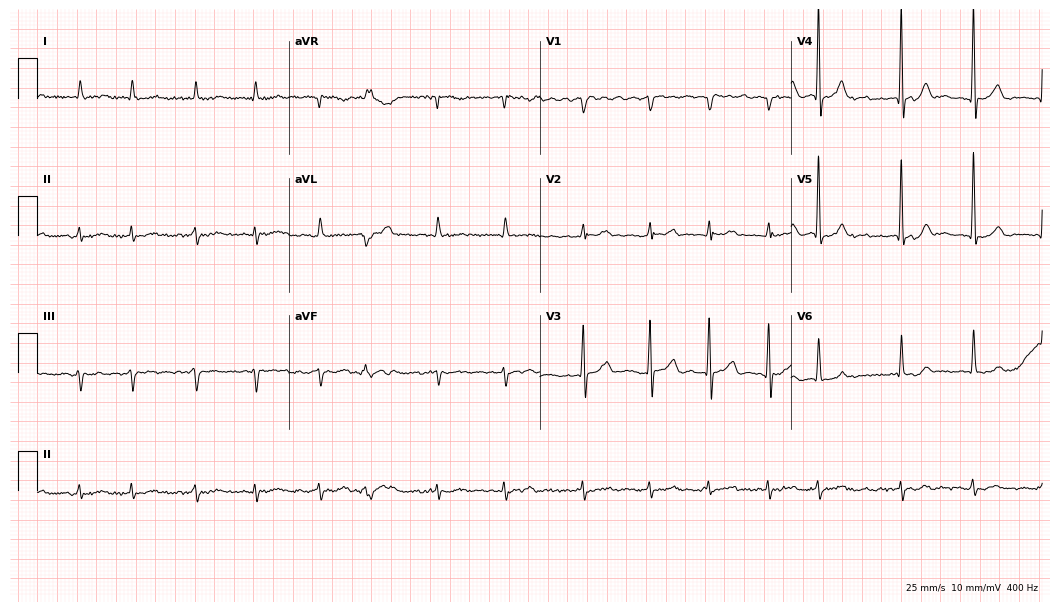
12-lead ECG from a 70-year-old male (10.2-second recording at 400 Hz). Shows atrial fibrillation (AF).